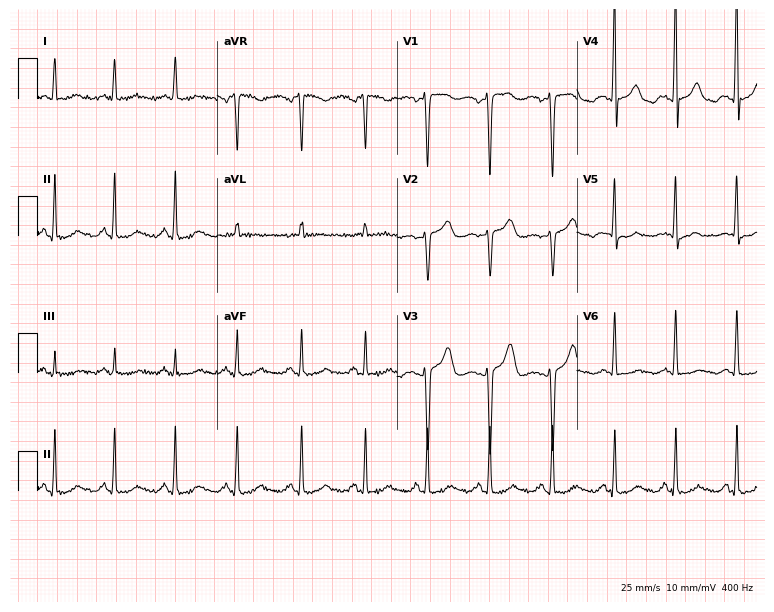
ECG — a female patient, 46 years old. Labelled as a normal ECG.